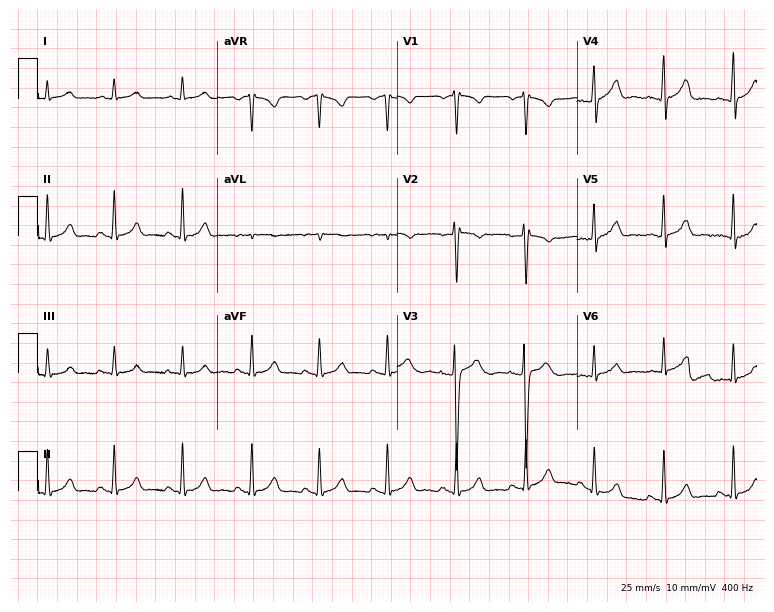
ECG (7.3-second recording at 400 Hz) — a man, 26 years old. Labelled as a normal ECG.